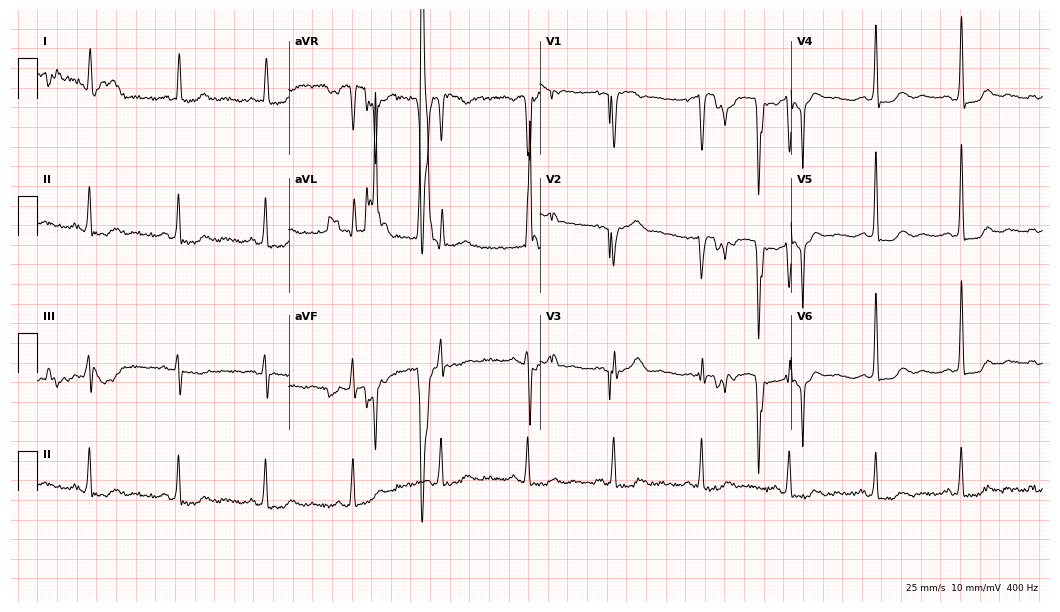
Standard 12-lead ECG recorded from a woman, 69 years old (10.2-second recording at 400 Hz). None of these six findings is recorded: first-degree AV block, right bundle branch block (RBBB), left bundle branch block (LBBB), sinus bradycardia, atrial fibrillation (AF), sinus tachycardia.